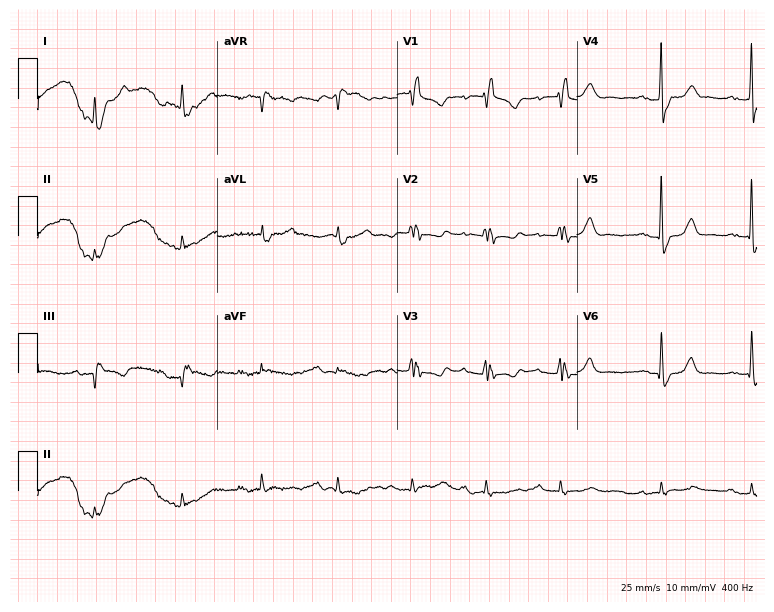
12-lead ECG (7.3-second recording at 400 Hz) from a female, 72 years old. Findings include right bundle branch block (RBBB).